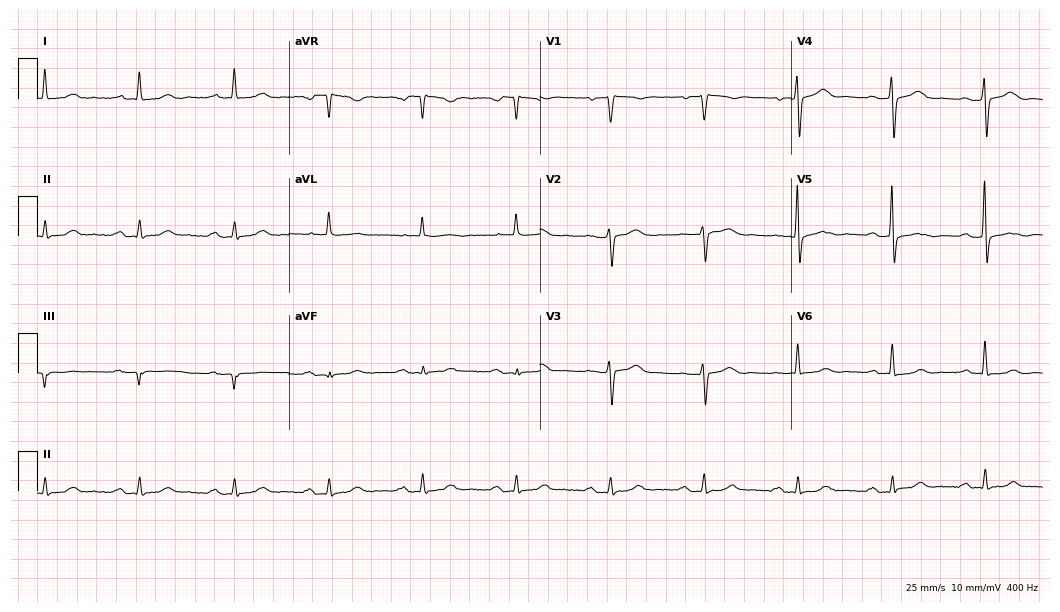
Standard 12-lead ECG recorded from a 76-year-old male. Read as a normal ECG.